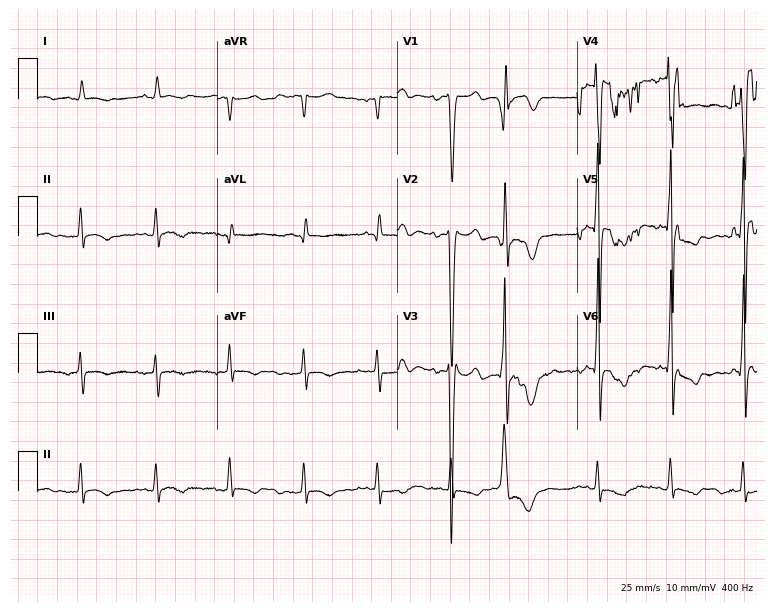
Electrocardiogram, an 81-year-old male patient. Of the six screened findings (first-degree AV block, right bundle branch block (RBBB), left bundle branch block (LBBB), sinus bradycardia, atrial fibrillation (AF), sinus tachycardia), none is recorded.